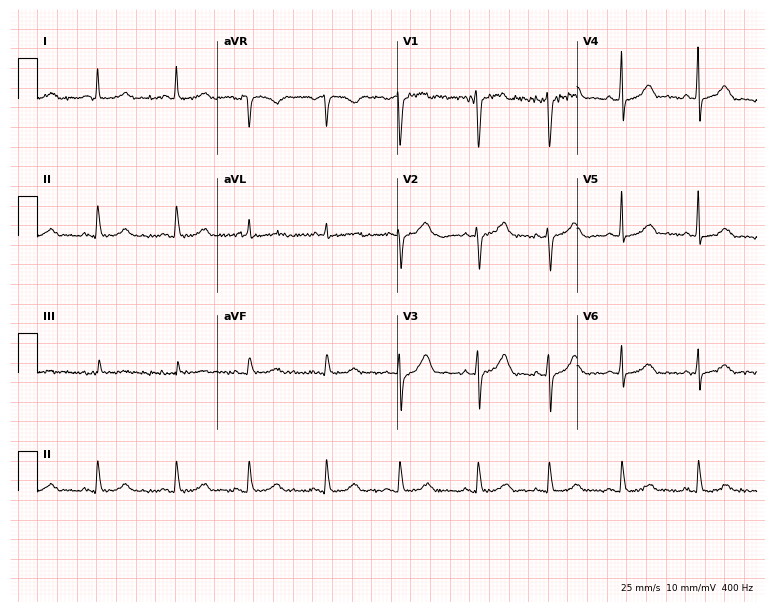
ECG (7.3-second recording at 400 Hz) — a 74-year-old woman. Screened for six findings — first-degree AV block, right bundle branch block (RBBB), left bundle branch block (LBBB), sinus bradycardia, atrial fibrillation (AF), sinus tachycardia — none is recorded. Only these six findings were labelled.